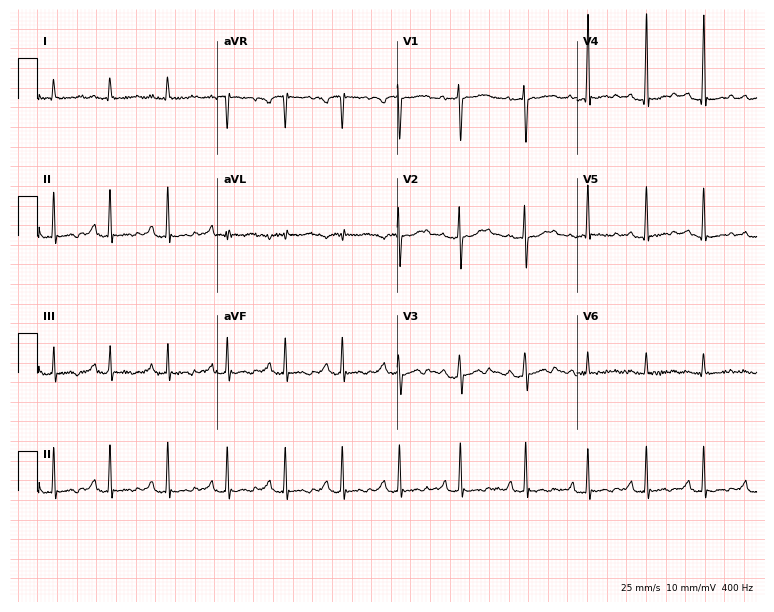
12-lead ECG from a female, 17 years old. No first-degree AV block, right bundle branch block, left bundle branch block, sinus bradycardia, atrial fibrillation or sinus tachycardia recorded for this tracing. Findings outside these six are not listed.